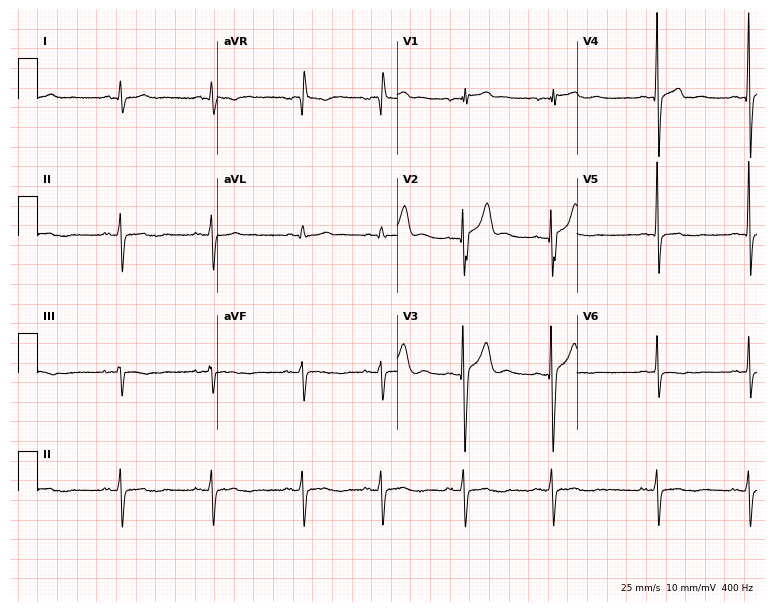
12-lead ECG from a man, 22 years old. Screened for six findings — first-degree AV block, right bundle branch block, left bundle branch block, sinus bradycardia, atrial fibrillation, sinus tachycardia — none is recorded. Other findings, if any, are not listed.